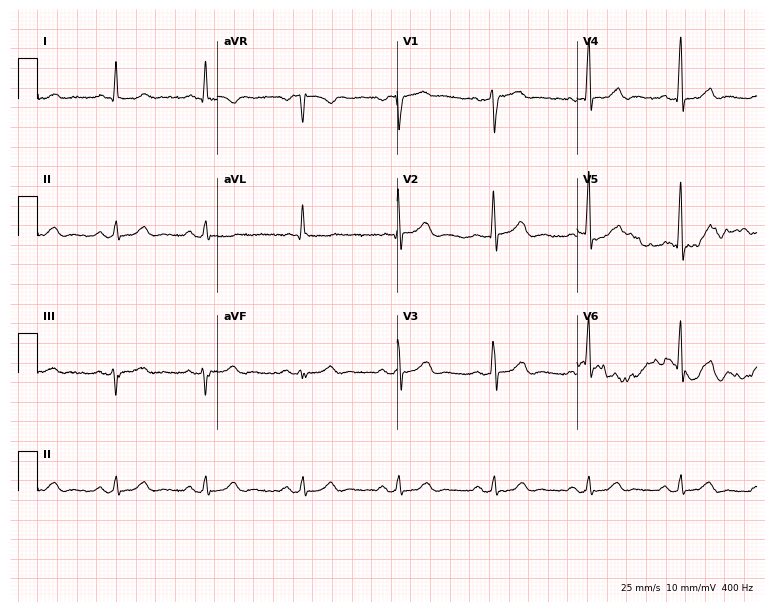
12-lead ECG (7.3-second recording at 400 Hz) from a female patient, 54 years old. Screened for six findings — first-degree AV block, right bundle branch block, left bundle branch block, sinus bradycardia, atrial fibrillation, sinus tachycardia — none is recorded. Only these six findings were labelled.